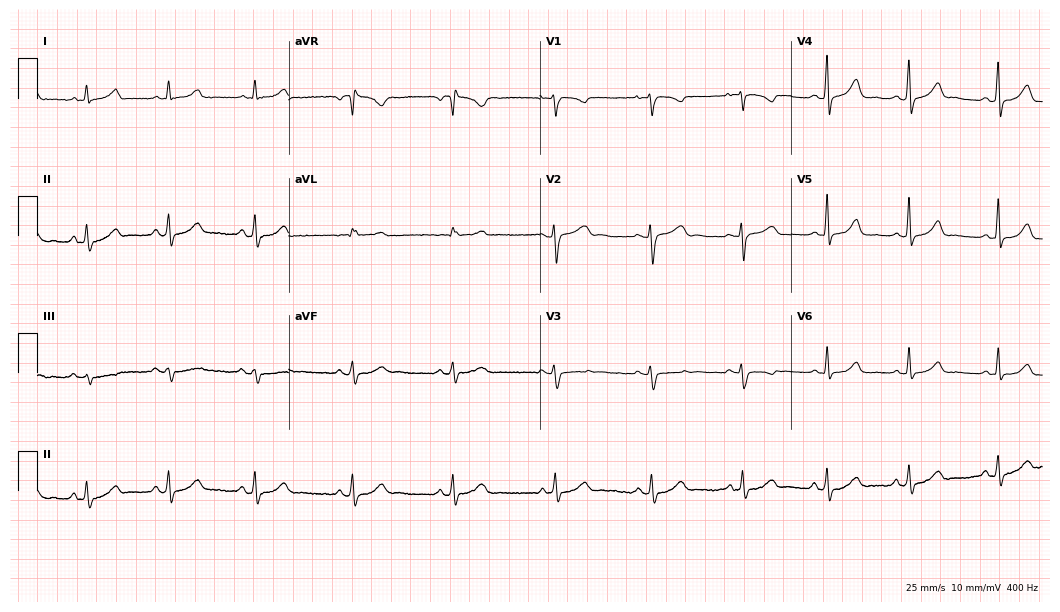
12-lead ECG from a female patient, 31 years old. Labelled as a normal ECG.